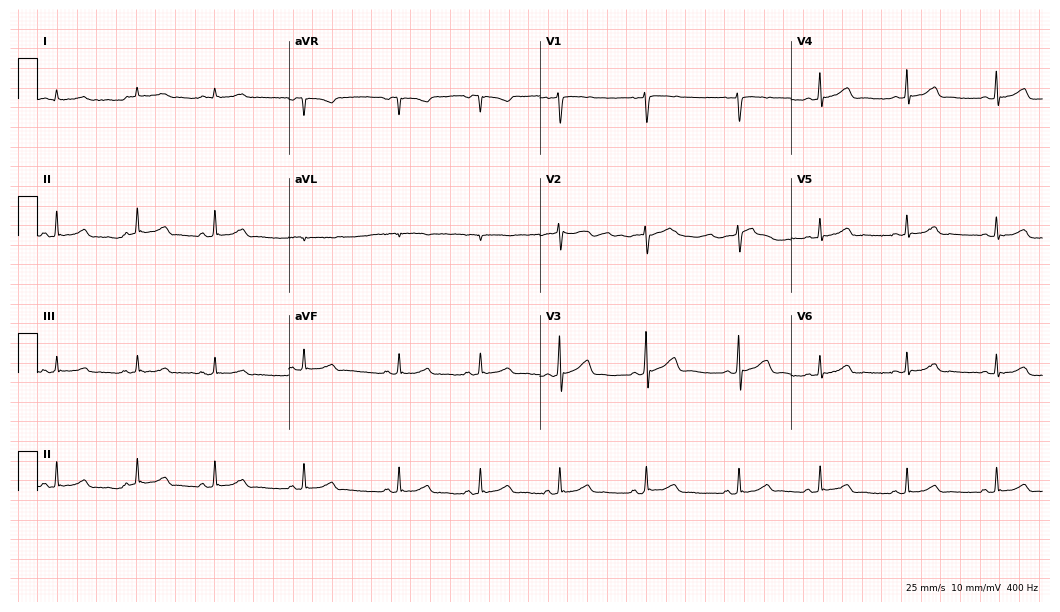
Standard 12-lead ECG recorded from a female, 36 years old. Read as a normal ECG.